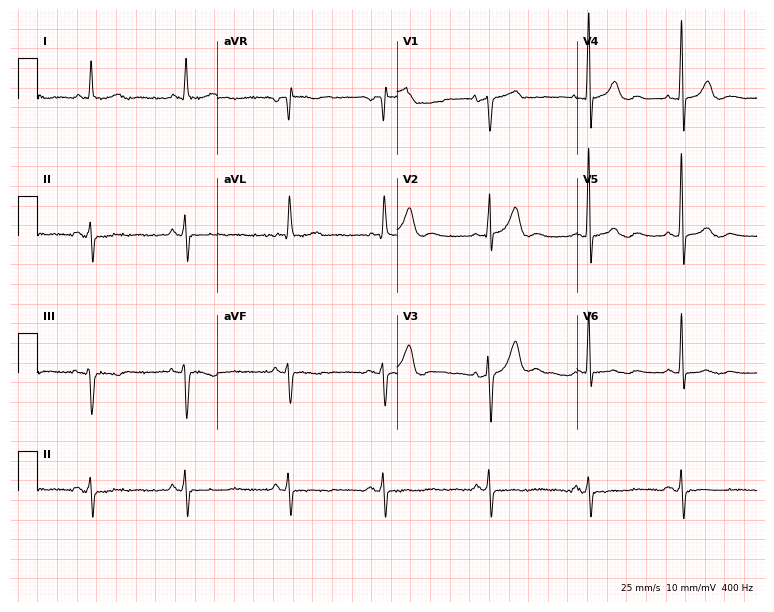
Standard 12-lead ECG recorded from a 68-year-old male (7.3-second recording at 400 Hz). None of these six findings is recorded: first-degree AV block, right bundle branch block (RBBB), left bundle branch block (LBBB), sinus bradycardia, atrial fibrillation (AF), sinus tachycardia. Only these six findings were labelled.